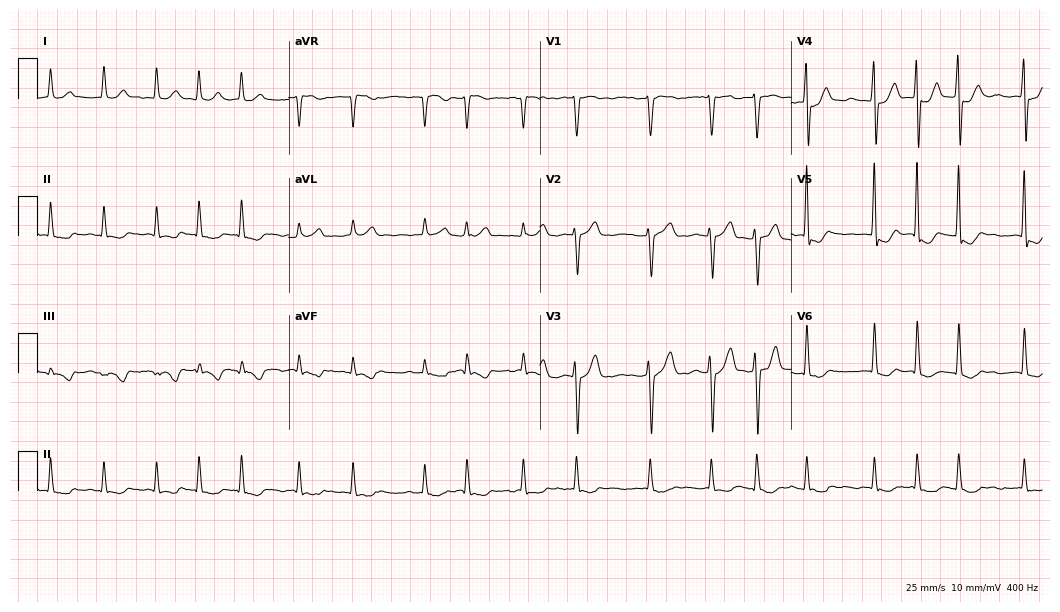
Electrocardiogram (10.2-second recording at 400 Hz), a male patient, 73 years old. Interpretation includes atrial fibrillation.